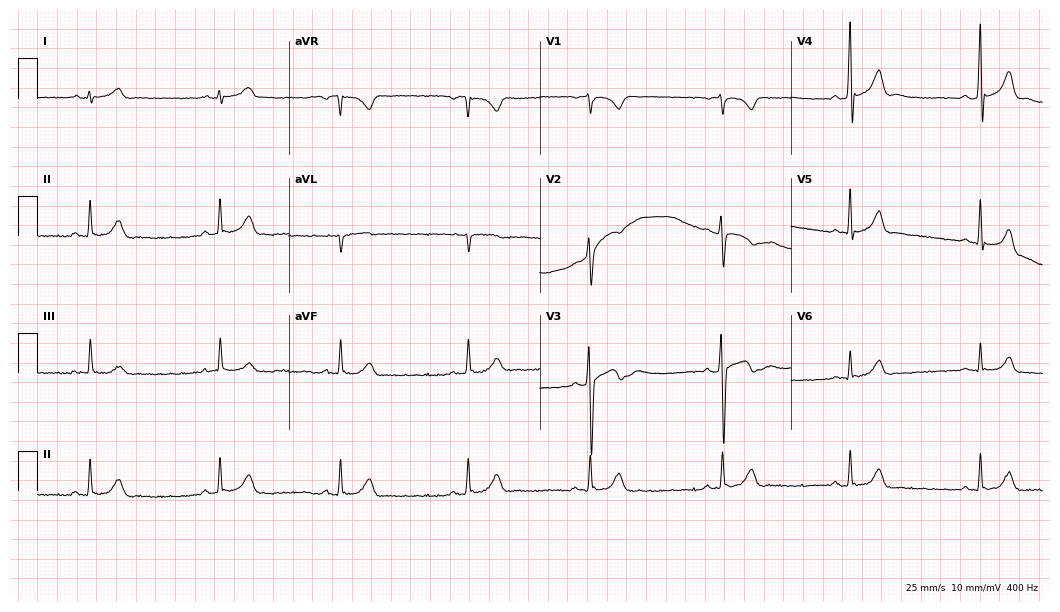
Electrocardiogram (10.2-second recording at 400 Hz), a male patient, 24 years old. Interpretation includes sinus bradycardia (a sinus rate of 50 beats per minute or less).